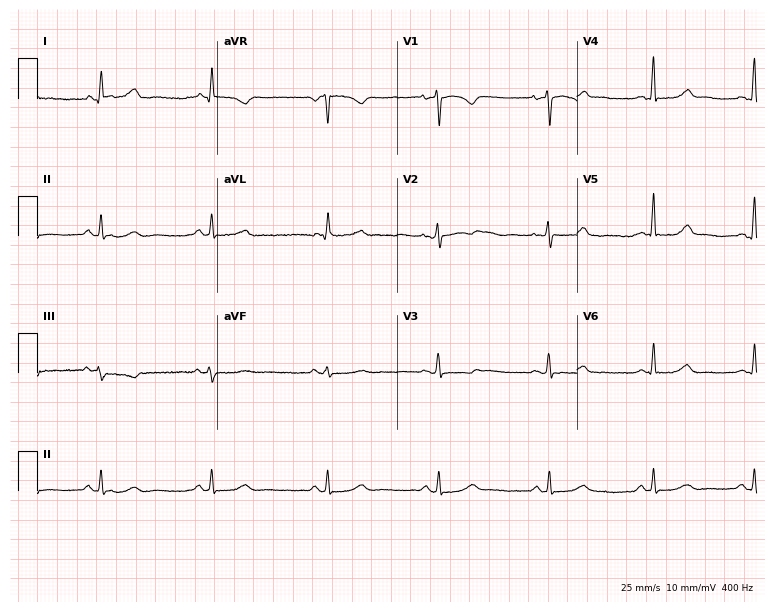
ECG (7.3-second recording at 400 Hz) — a female, 49 years old. Labelled as a normal ECG.